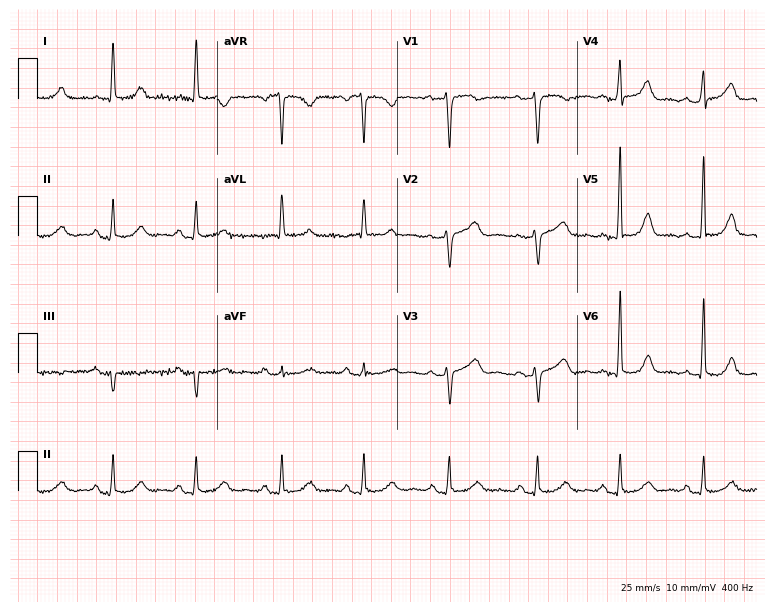
Standard 12-lead ECG recorded from a female, 60 years old (7.3-second recording at 400 Hz). Read as a normal ECG.